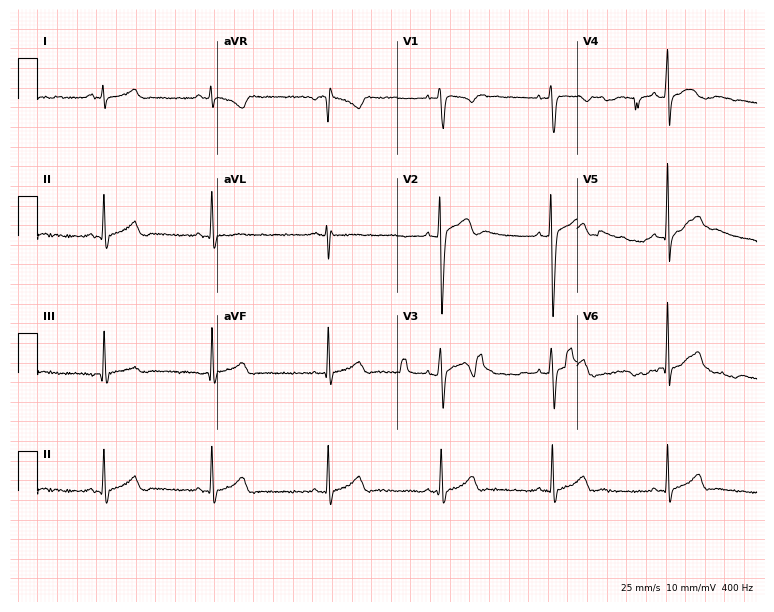
12-lead ECG from a 26-year-old male. No first-degree AV block, right bundle branch block, left bundle branch block, sinus bradycardia, atrial fibrillation or sinus tachycardia recorded for this tracing. Other findings, if any, are not listed.